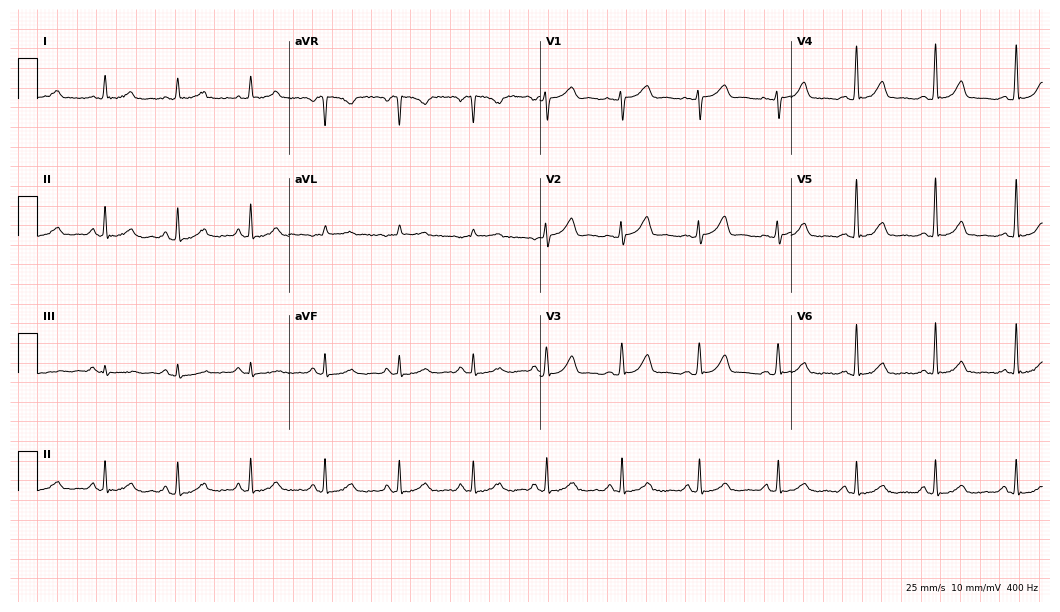
12-lead ECG from a woman, 56 years old. Labelled as a normal ECG.